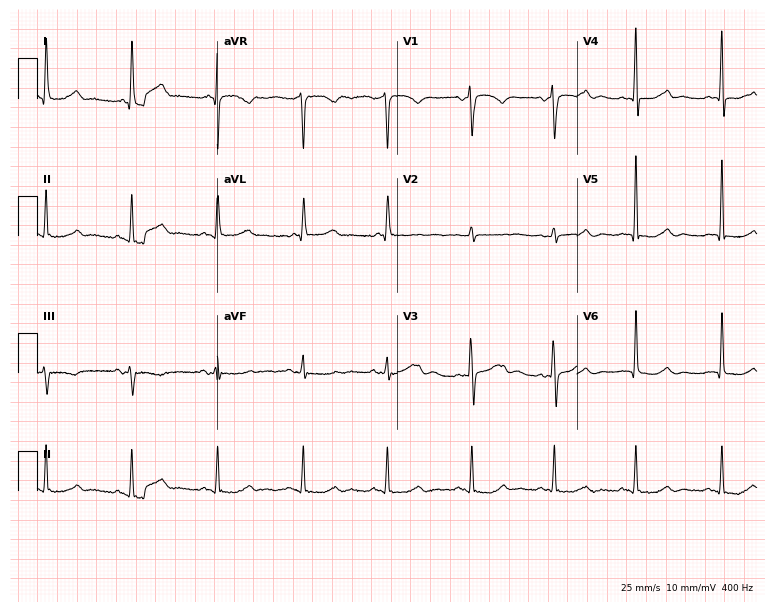
Electrocardiogram, a female, 67 years old. Of the six screened findings (first-degree AV block, right bundle branch block (RBBB), left bundle branch block (LBBB), sinus bradycardia, atrial fibrillation (AF), sinus tachycardia), none is recorded.